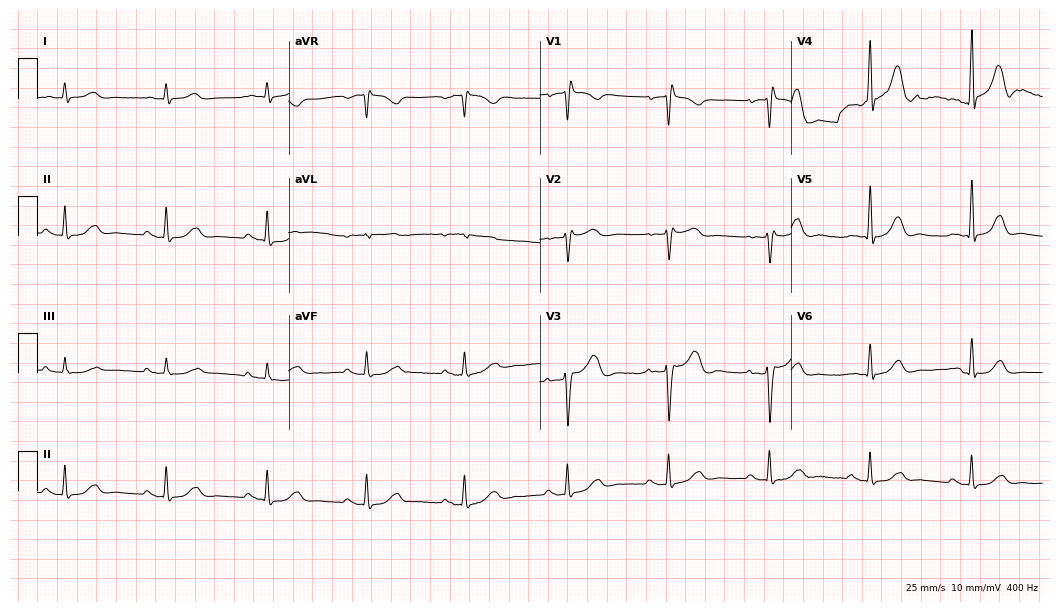
ECG (10.2-second recording at 400 Hz) — a male, 79 years old. Screened for six findings — first-degree AV block, right bundle branch block (RBBB), left bundle branch block (LBBB), sinus bradycardia, atrial fibrillation (AF), sinus tachycardia — none is recorded.